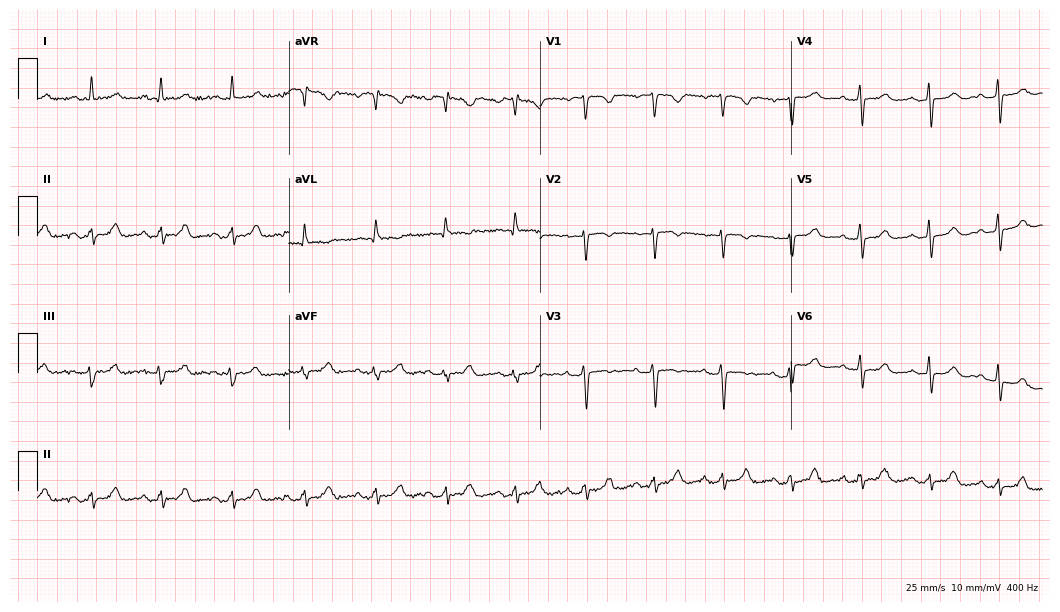
Electrocardiogram (10.2-second recording at 400 Hz), a female, 46 years old. Overall reading on record: normal ECG.